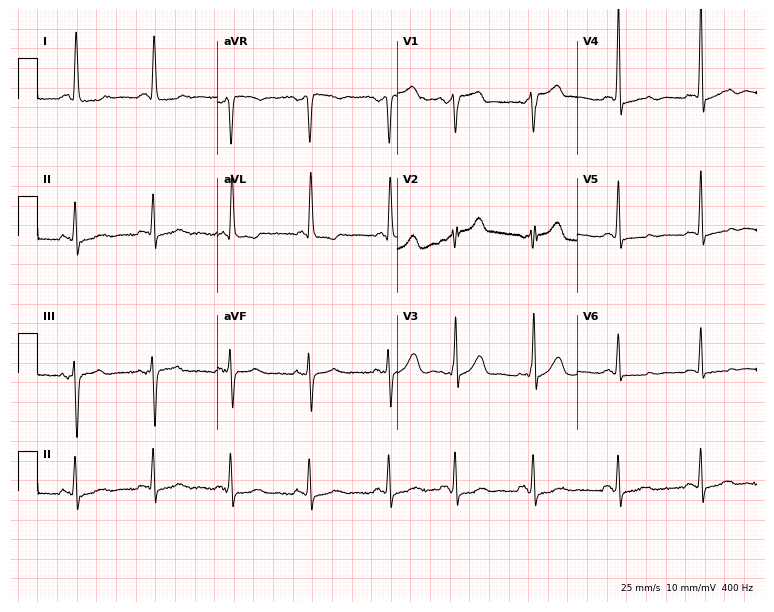
ECG — a woman, 82 years old. Screened for six findings — first-degree AV block, right bundle branch block (RBBB), left bundle branch block (LBBB), sinus bradycardia, atrial fibrillation (AF), sinus tachycardia — none is recorded.